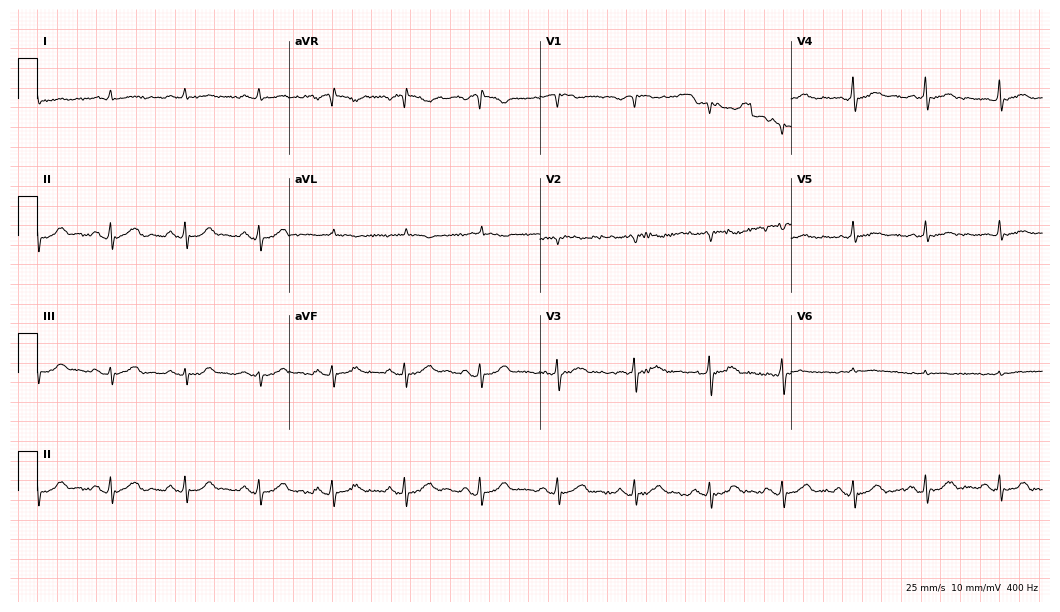
12-lead ECG from a 17-year-old male. No first-degree AV block, right bundle branch block (RBBB), left bundle branch block (LBBB), sinus bradycardia, atrial fibrillation (AF) or sinus tachycardia recorded for this tracing.